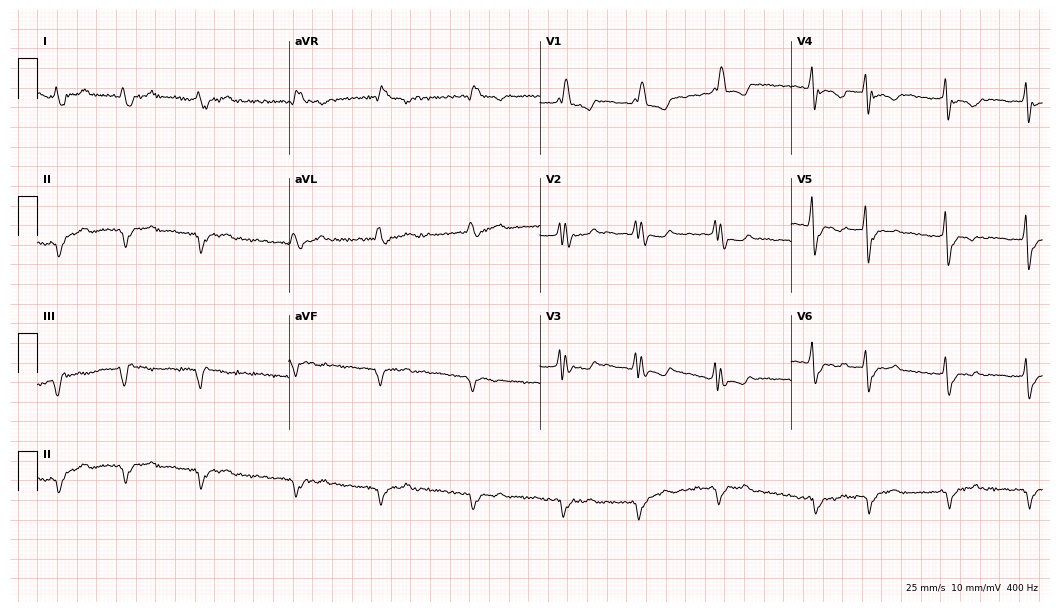
Resting 12-lead electrocardiogram. Patient: a woman, 75 years old. The tracing shows right bundle branch block, atrial fibrillation.